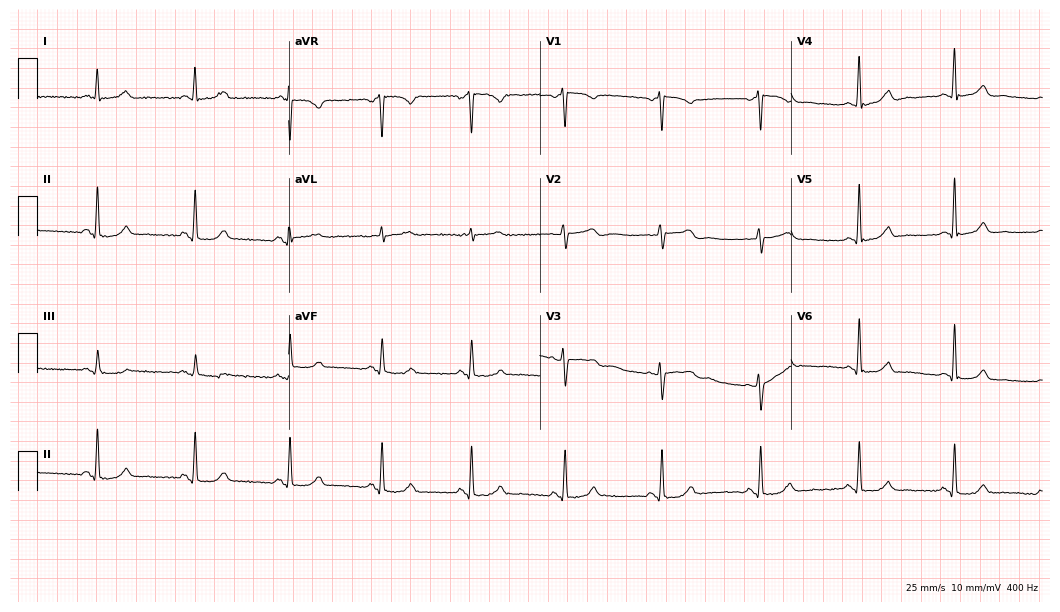
Electrocardiogram, a female patient, 52 years old. Overall reading on record: normal ECG.